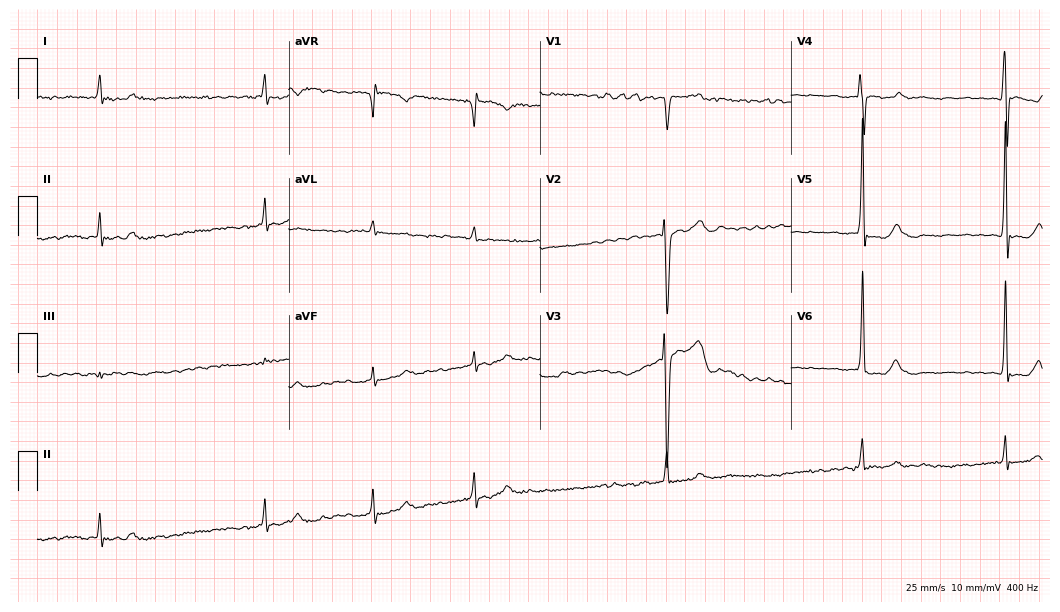
Electrocardiogram, a 39-year-old male. Interpretation includes atrial fibrillation.